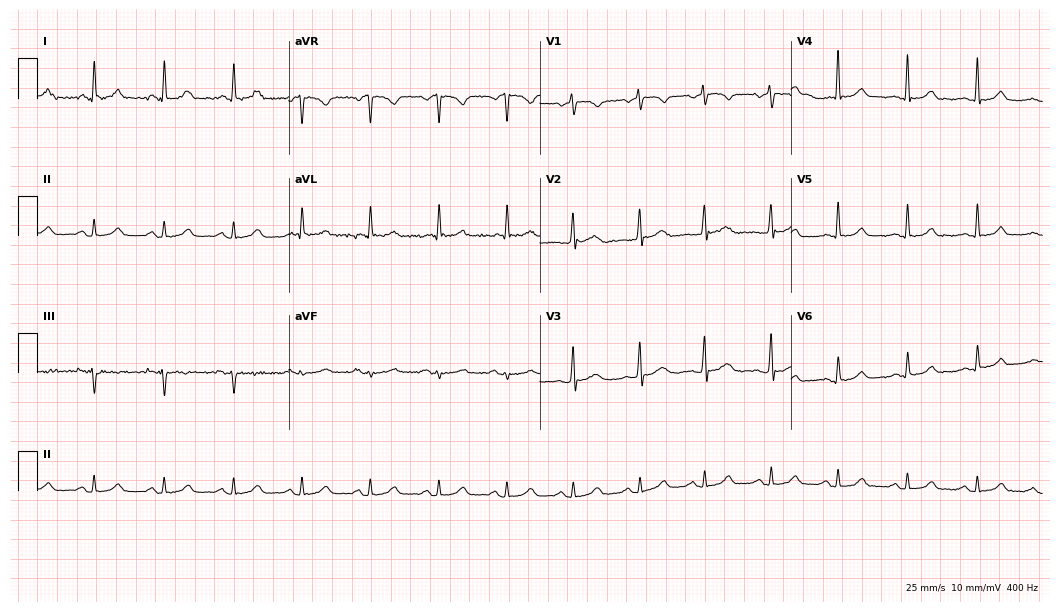
Resting 12-lead electrocardiogram. Patient: a 53-year-old woman. Read as a normal ECG.